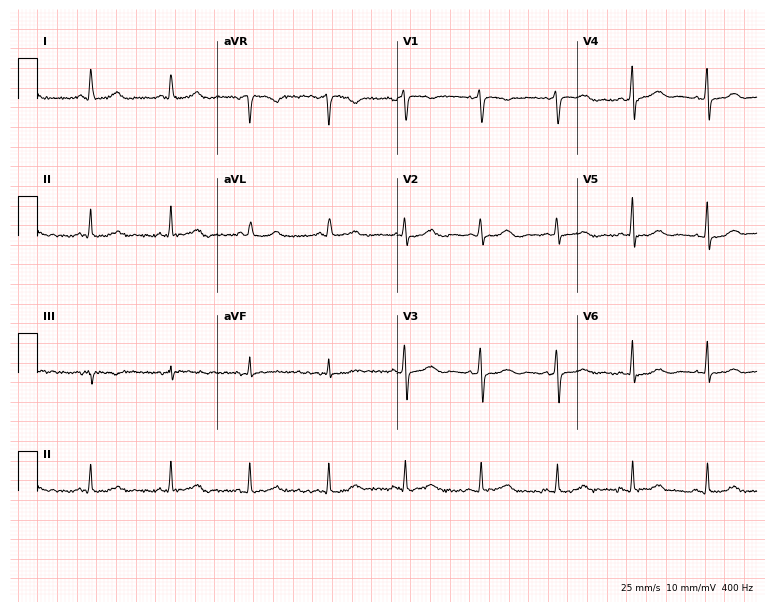
12-lead ECG from a female patient, 75 years old. Labelled as a normal ECG.